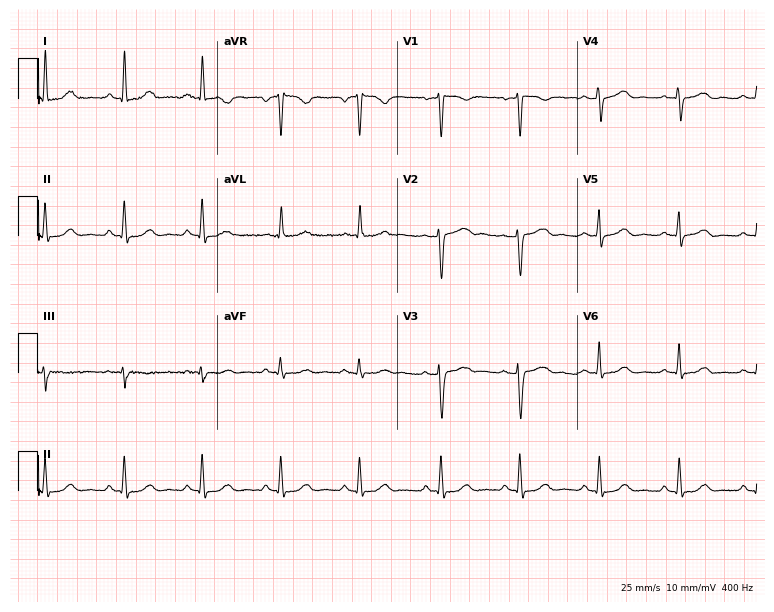
12-lead ECG from a 48-year-old woman (7.3-second recording at 400 Hz). Recorded interpretation: within normal limits.